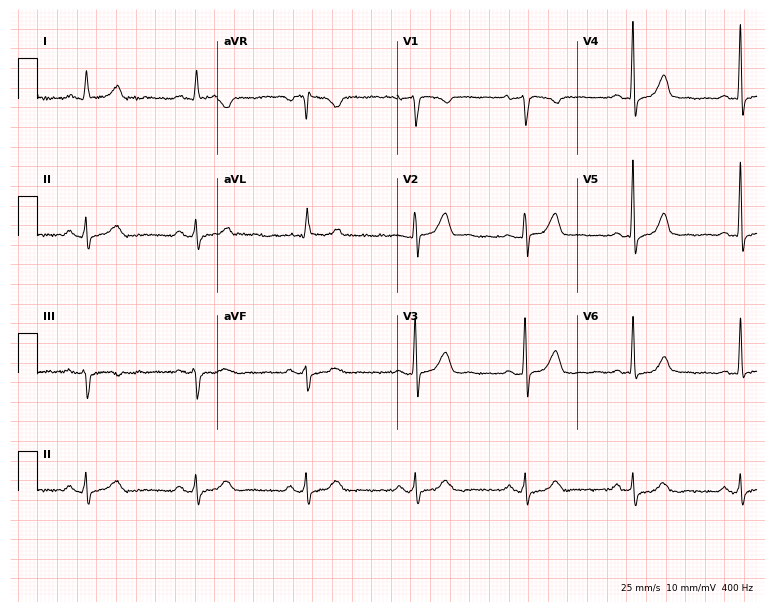
Standard 12-lead ECG recorded from a female patient, 56 years old. None of these six findings is recorded: first-degree AV block, right bundle branch block (RBBB), left bundle branch block (LBBB), sinus bradycardia, atrial fibrillation (AF), sinus tachycardia. Only these six findings were labelled.